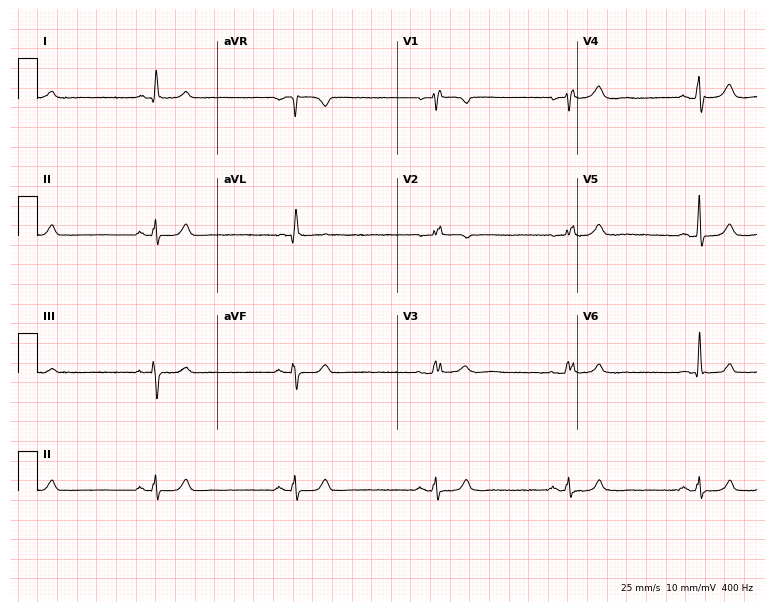
ECG (7.3-second recording at 400 Hz) — a 75-year-old woman. Screened for six findings — first-degree AV block, right bundle branch block, left bundle branch block, sinus bradycardia, atrial fibrillation, sinus tachycardia — none is recorded.